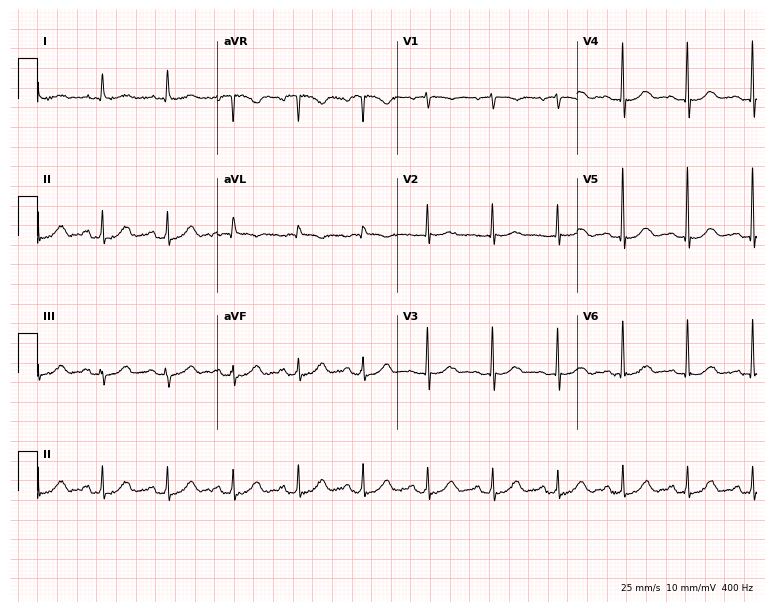
Resting 12-lead electrocardiogram. Patient: an 82-year-old female. Read as a normal ECG.